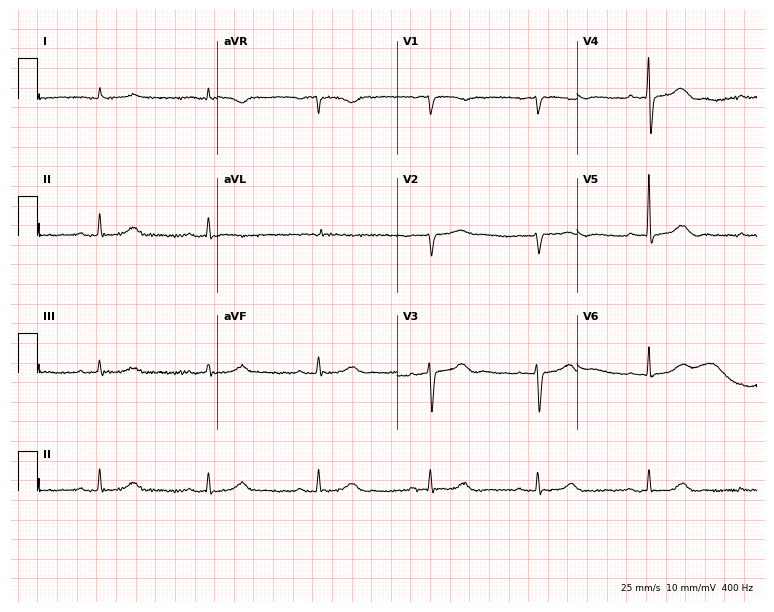
12-lead ECG (7.3-second recording at 400 Hz) from an 80-year-old man. Findings include first-degree AV block.